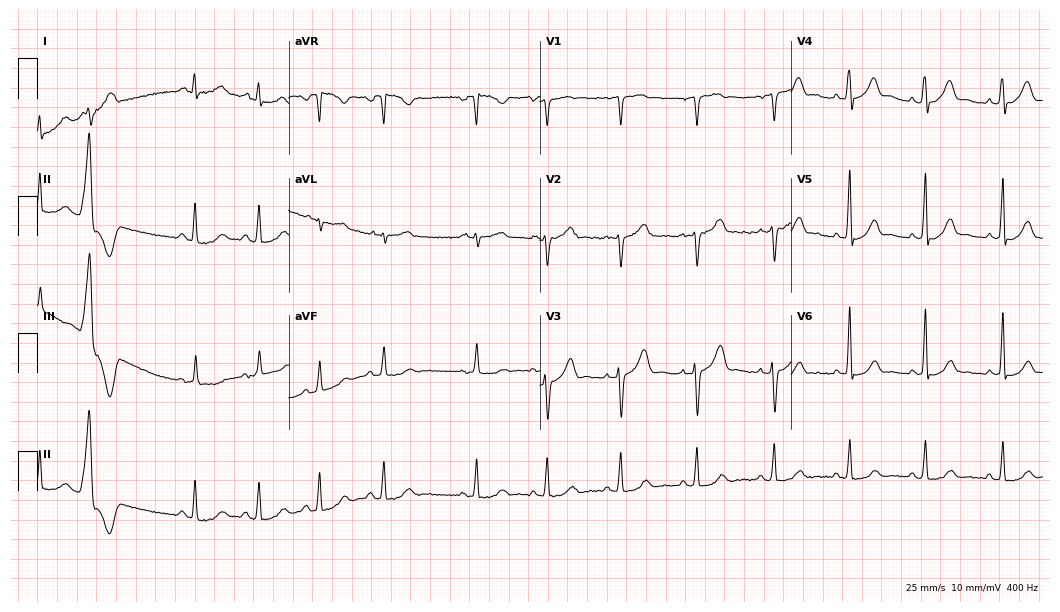
Standard 12-lead ECG recorded from a woman, 44 years old. None of these six findings is recorded: first-degree AV block, right bundle branch block (RBBB), left bundle branch block (LBBB), sinus bradycardia, atrial fibrillation (AF), sinus tachycardia. Other findings, if any, are not listed.